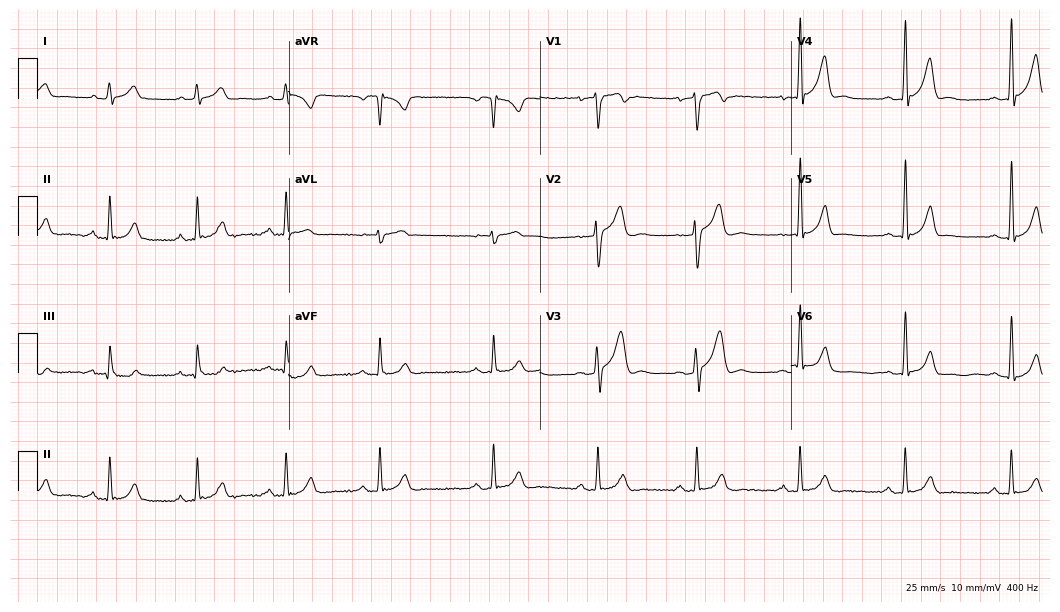
Standard 12-lead ECG recorded from a male patient, 24 years old (10.2-second recording at 400 Hz). Read as a normal ECG.